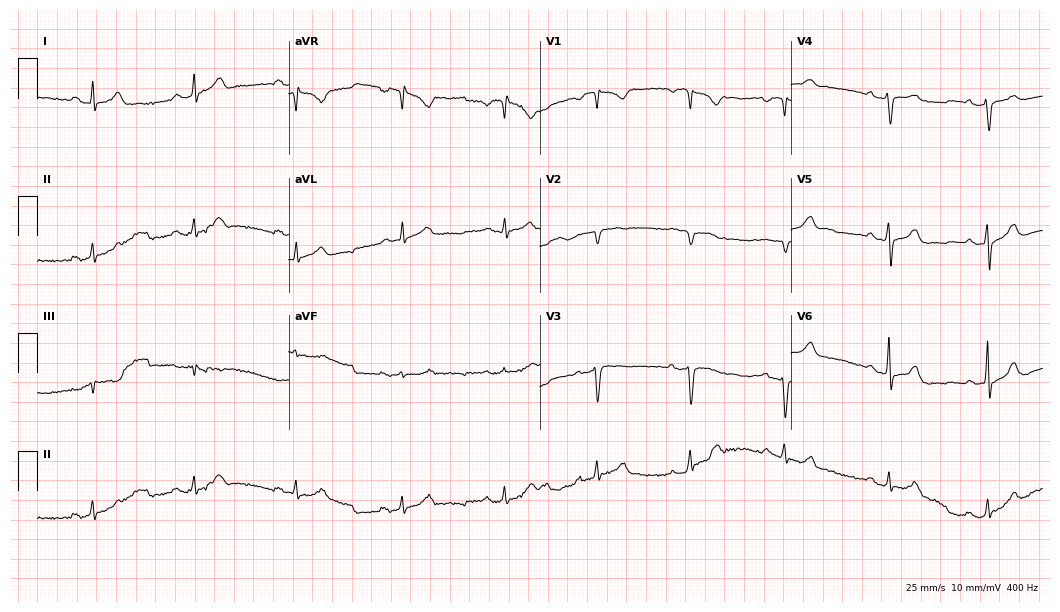
Standard 12-lead ECG recorded from a 61-year-old man (10.2-second recording at 400 Hz). Read as a normal ECG.